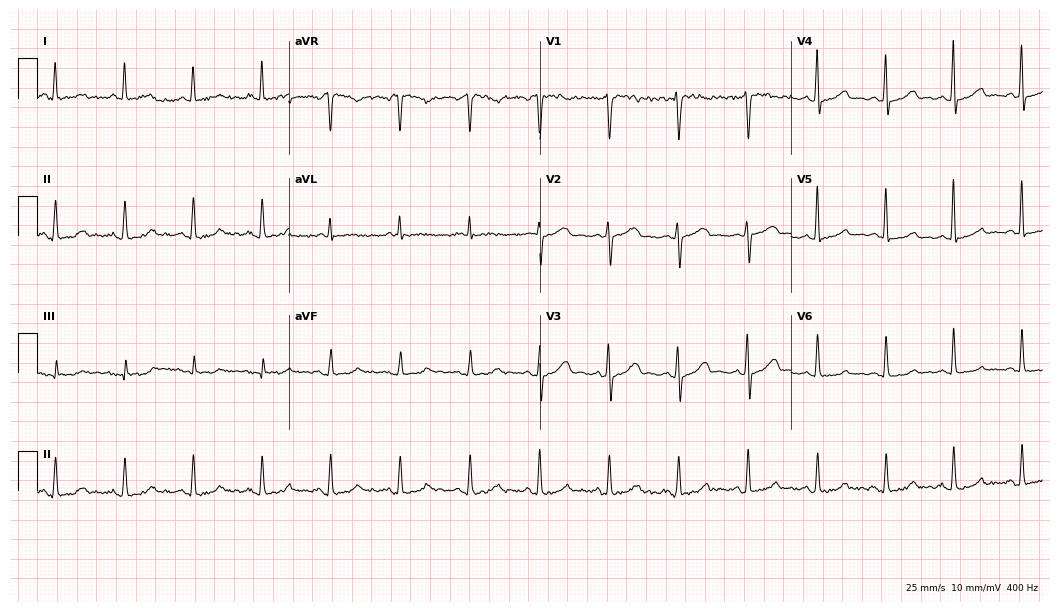
ECG (10.2-second recording at 400 Hz) — a female patient, 47 years old. Labelled as a normal ECG.